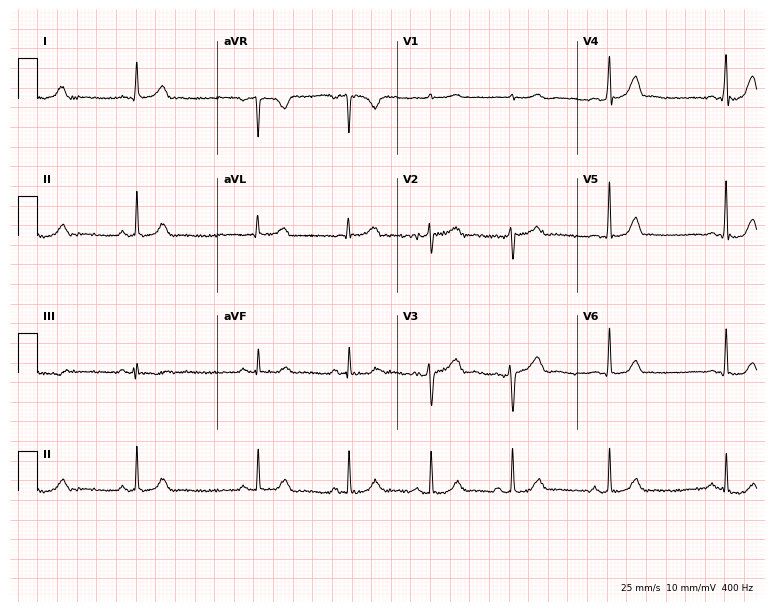
ECG — an 18-year-old female. Labelled as a normal ECG.